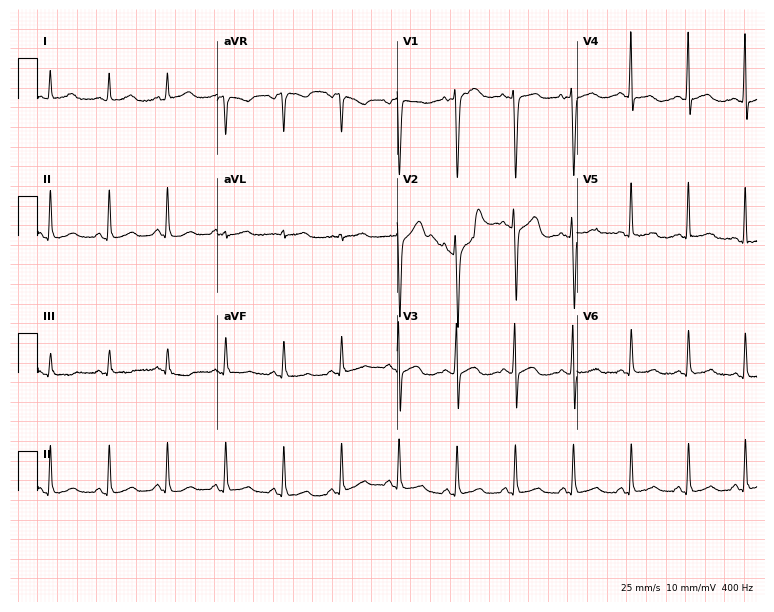
ECG — a 42-year-old male. Findings include atrial fibrillation (AF), sinus tachycardia (a sinus rate of 100 beats per minute or more).